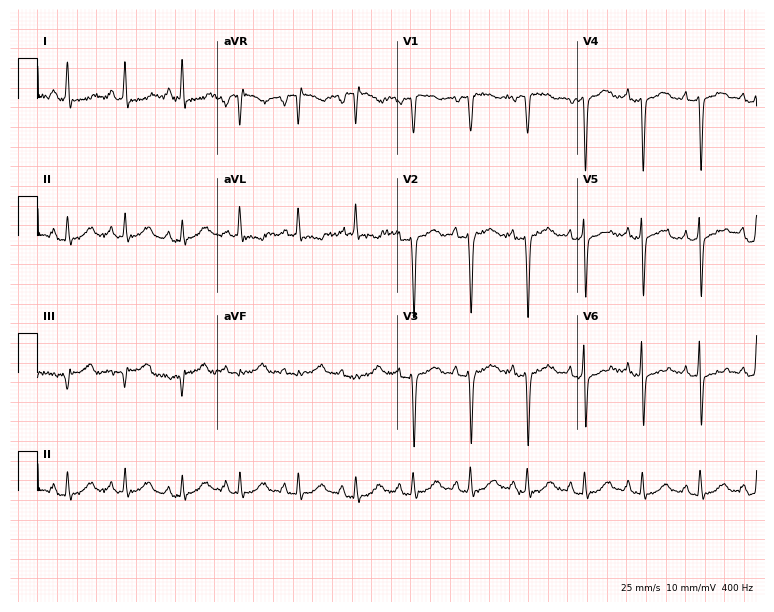
Standard 12-lead ECG recorded from a female, 68 years old (7.3-second recording at 400 Hz). The tracing shows sinus tachycardia (a sinus rate of 100 beats per minute or more).